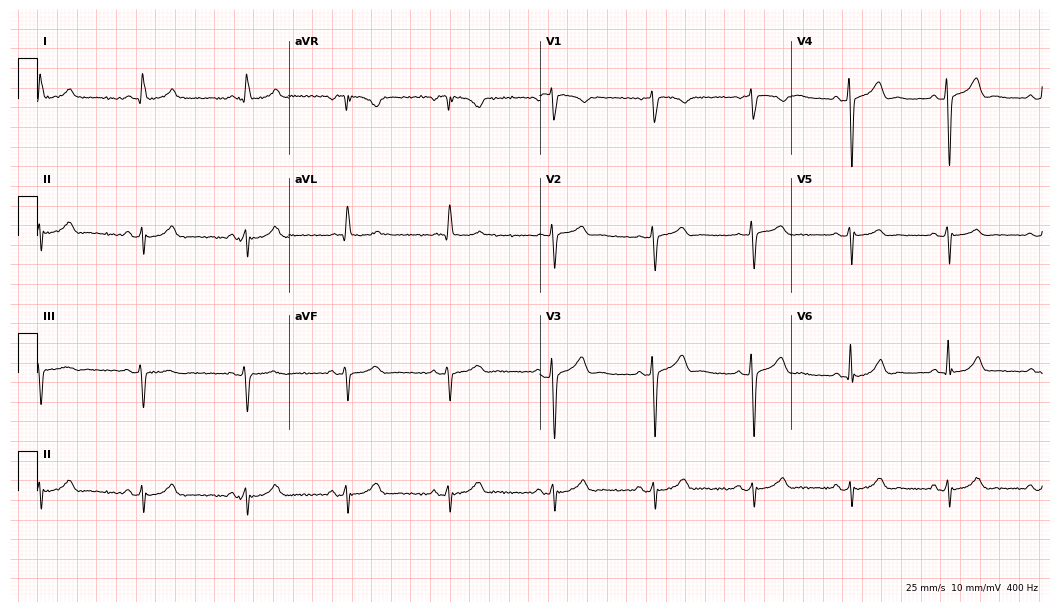
12-lead ECG from a man, 63 years old (10.2-second recording at 400 Hz). No first-degree AV block, right bundle branch block, left bundle branch block, sinus bradycardia, atrial fibrillation or sinus tachycardia recorded for this tracing. Findings outside these six are not listed.